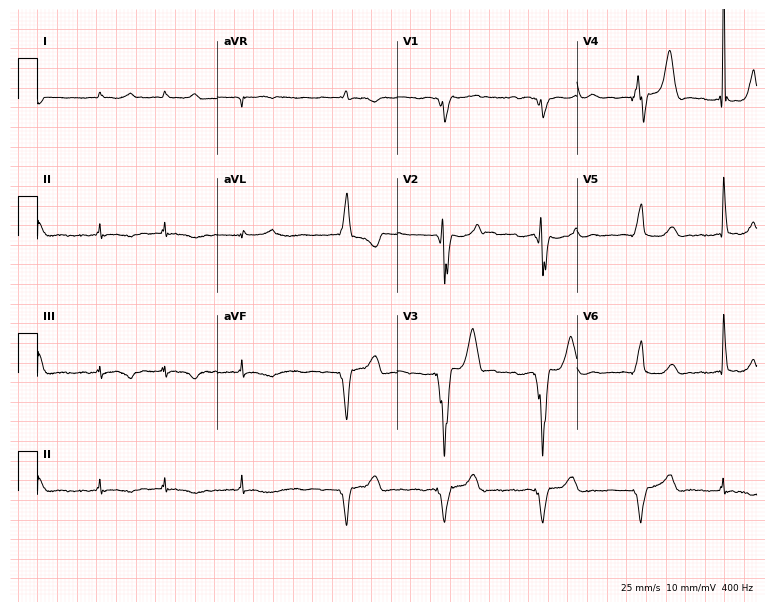
12-lead ECG from a 74-year-old male patient. Recorded interpretation: within normal limits.